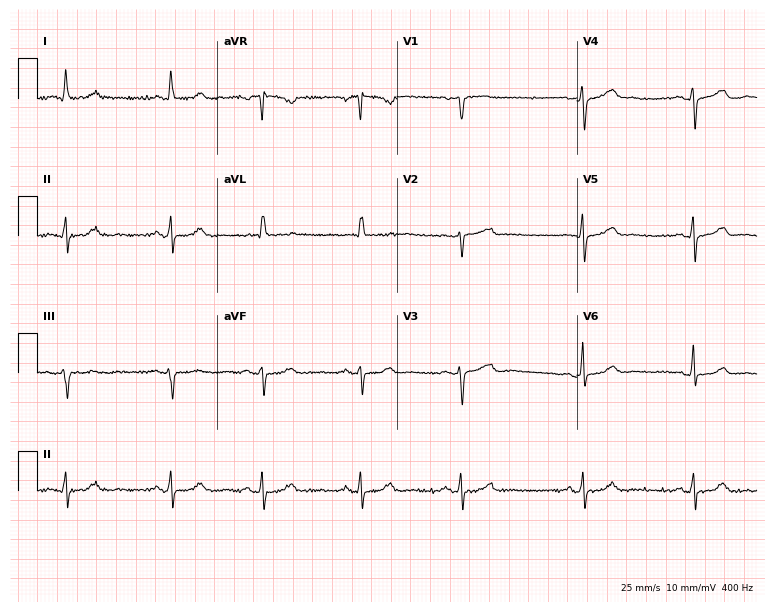
Electrocardiogram (7.3-second recording at 400 Hz), a female, 78 years old. Overall reading on record: normal ECG.